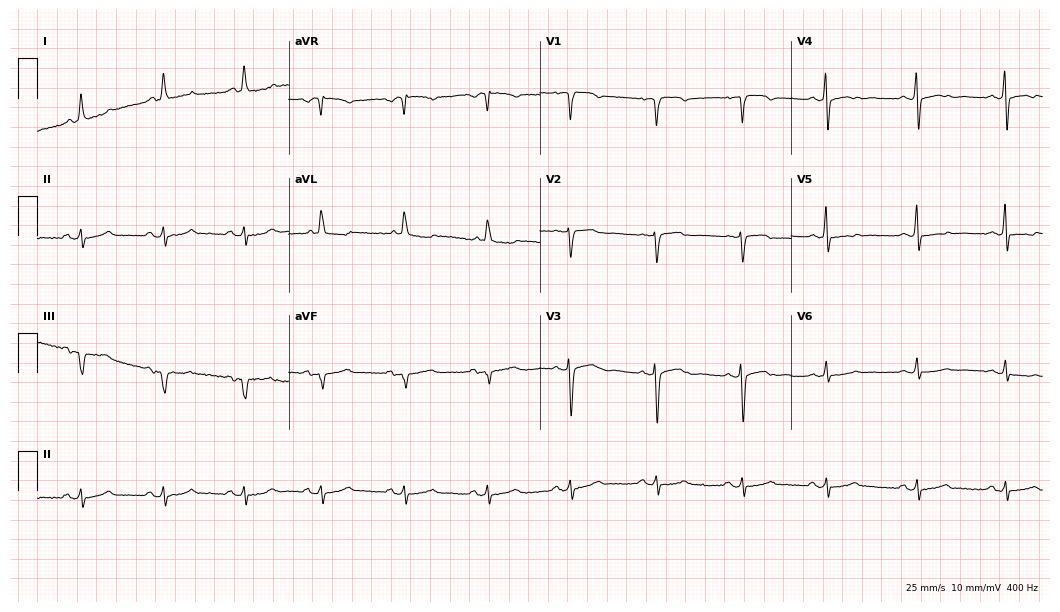
Standard 12-lead ECG recorded from a female, 70 years old (10.2-second recording at 400 Hz). None of these six findings is recorded: first-degree AV block, right bundle branch block (RBBB), left bundle branch block (LBBB), sinus bradycardia, atrial fibrillation (AF), sinus tachycardia.